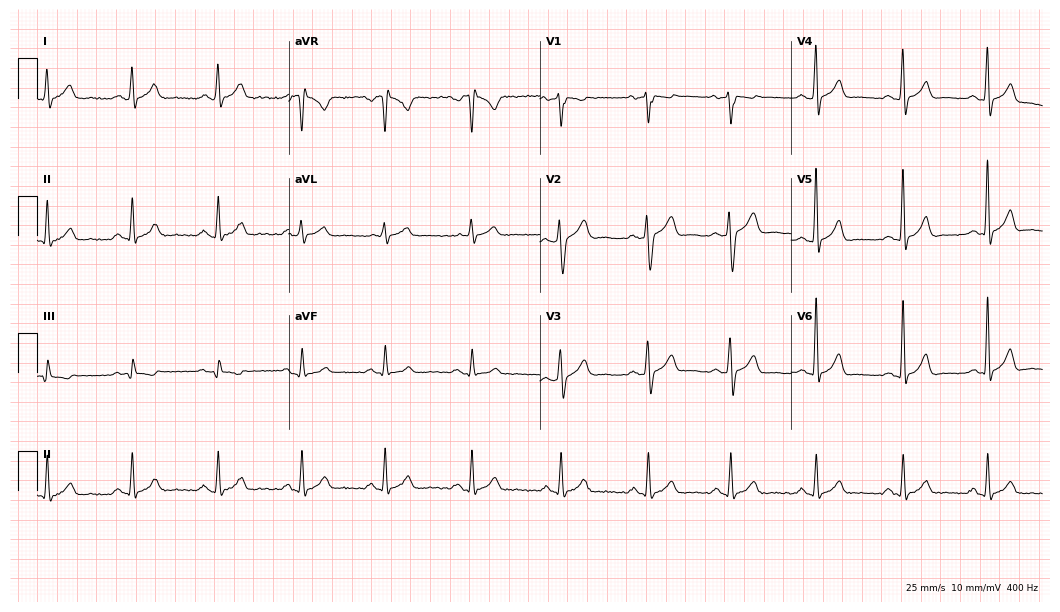
Electrocardiogram (10.2-second recording at 400 Hz), a 33-year-old male. Overall reading on record: normal ECG.